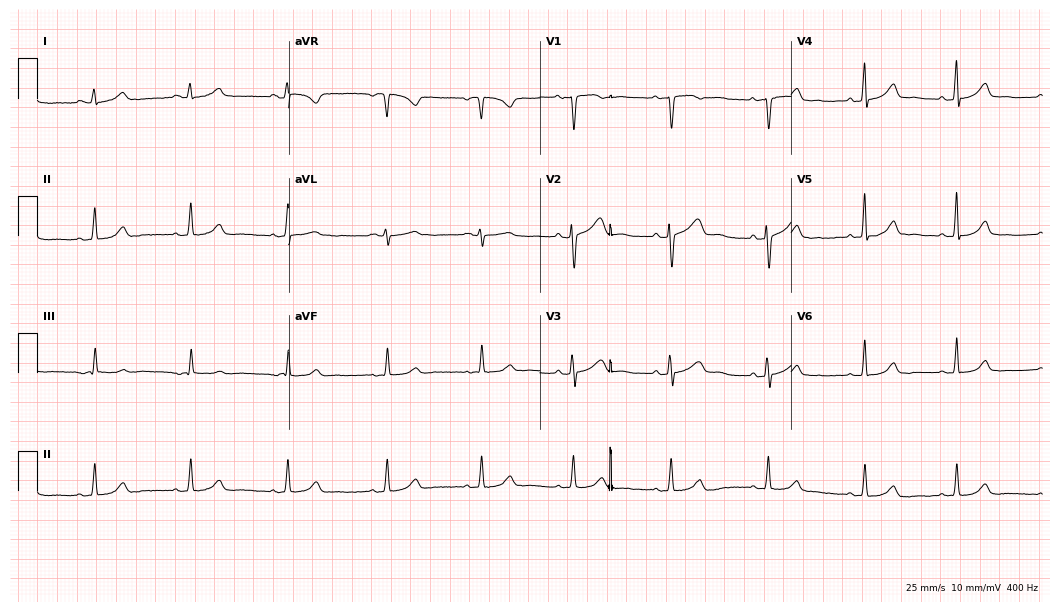
12-lead ECG (10.2-second recording at 400 Hz) from a 37-year-old female. Screened for six findings — first-degree AV block, right bundle branch block, left bundle branch block, sinus bradycardia, atrial fibrillation, sinus tachycardia — none is recorded.